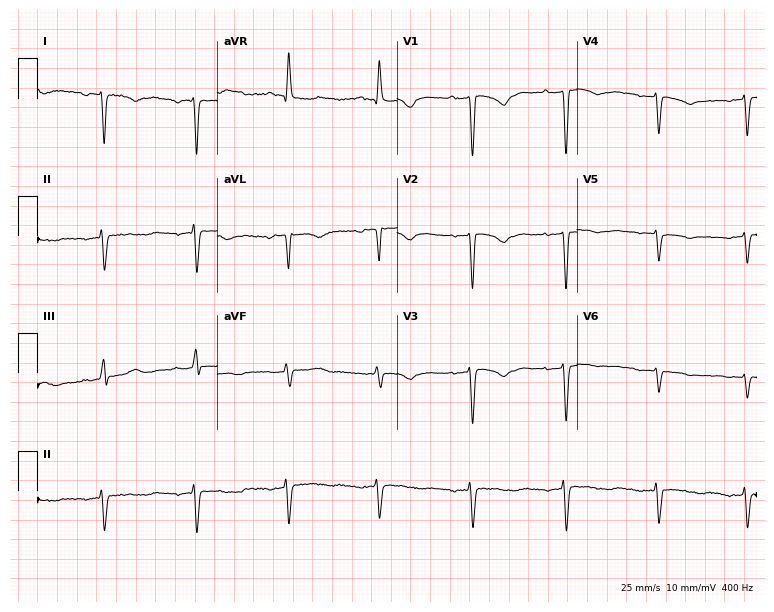
12-lead ECG from a 55-year-old female. Screened for six findings — first-degree AV block, right bundle branch block, left bundle branch block, sinus bradycardia, atrial fibrillation, sinus tachycardia — none is recorded. Findings outside these six are not listed.